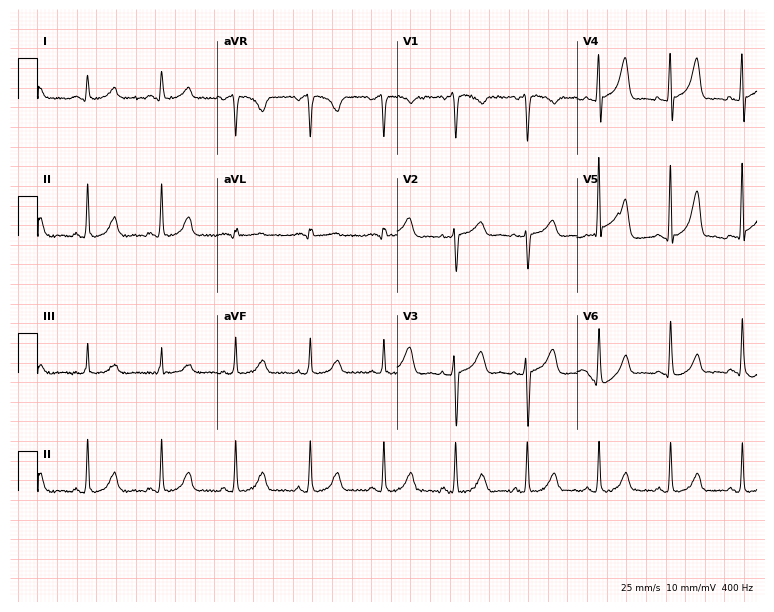
12-lead ECG from a 49-year-old female patient. No first-degree AV block, right bundle branch block (RBBB), left bundle branch block (LBBB), sinus bradycardia, atrial fibrillation (AF) or sinus tachycardia recorded for this tracing.